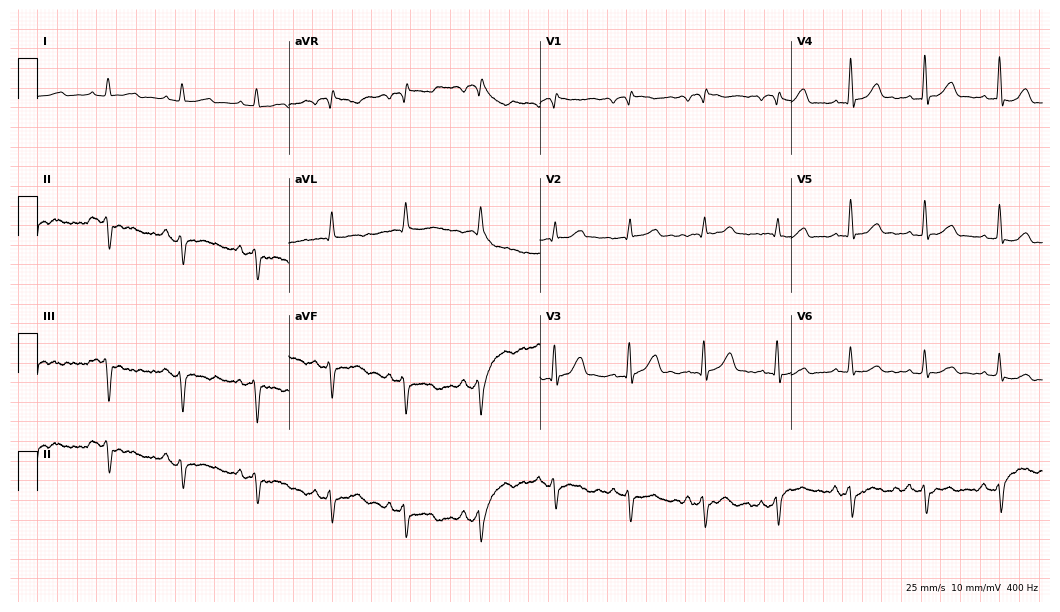
12-lead ECG from a 76-year-old male patient. No first-degree AV block, right bundle branch block (RBBB), left bundle branch block (LBBB), sinus bradycardia, atrial fibrillation (AF) or sinus tachycardia recorded for this tracing. Findings outside these six are not listed.